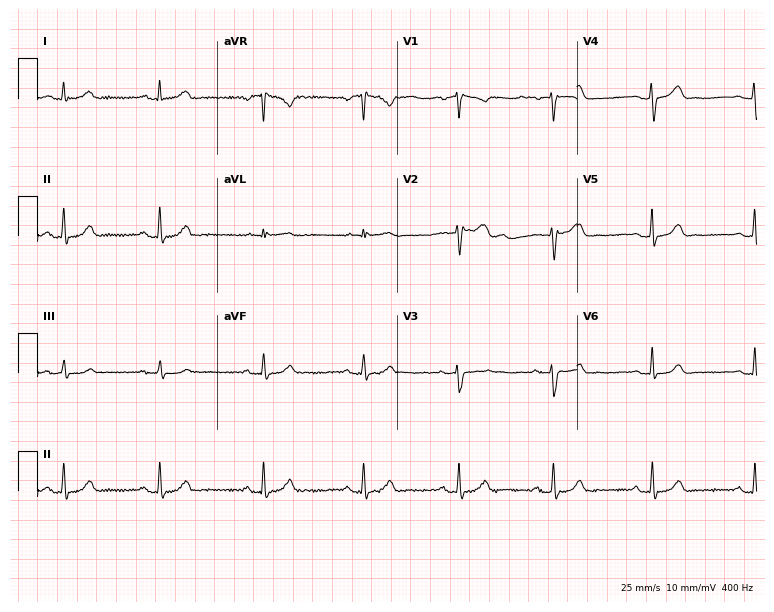
ECG — a 50-year-old woman. Labelled as a normal ECG.